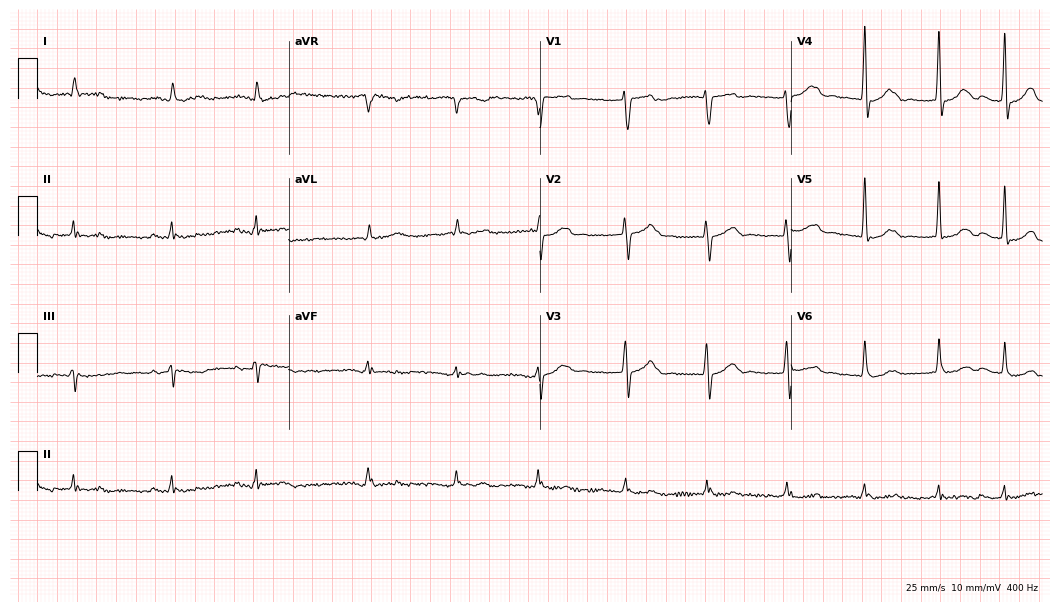
Standard 12-lead ECG recorded from a 74-year-old female patient (10.2-second recording at 400 Hz). None of these six findings is recorded: first-degree AV block, right bundle branch block (RBBB), left bundle branch block (LBBB), sinus bradycardia, atrial fibrillation (AF), sinus tachycardia. Other findings, if any, are not listed.